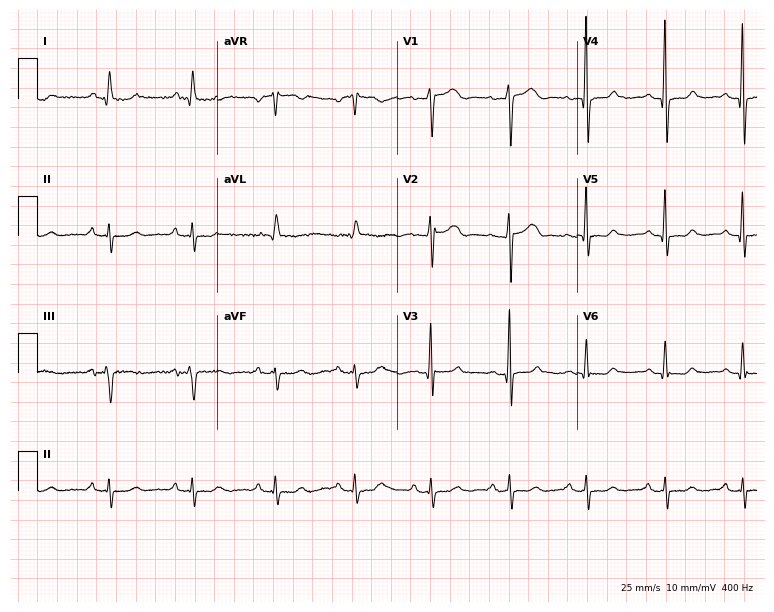
12-lead ECG from a 72-year-old woman (7.3-second recording at 400 Hz). Recorded interpretation: within normal limits.